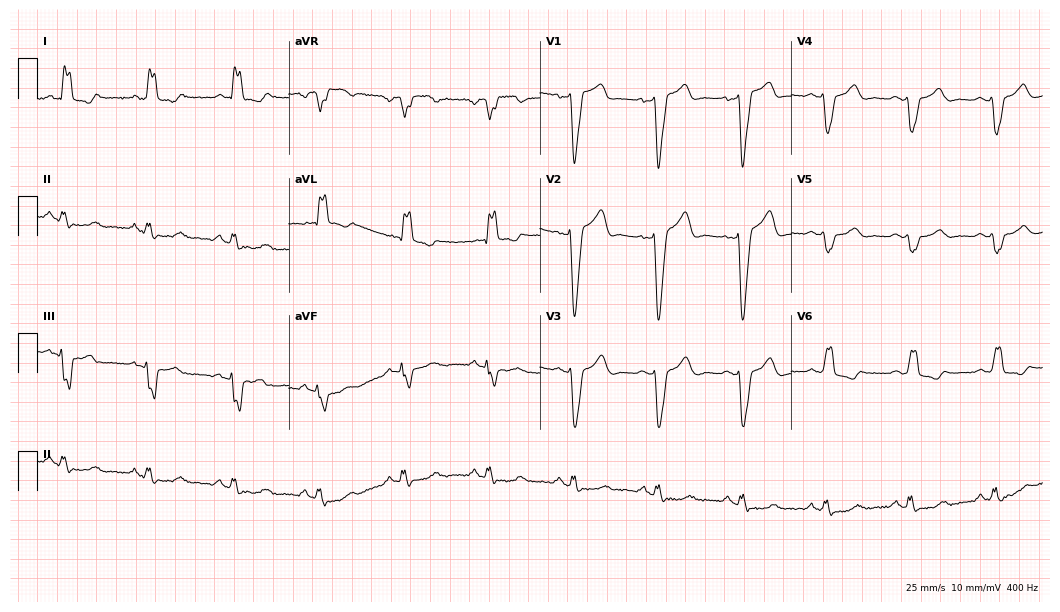
Resting 12-lead electrocardiogram. Patient: a woman, 37 years old. The tracing shows left bundle branch block.